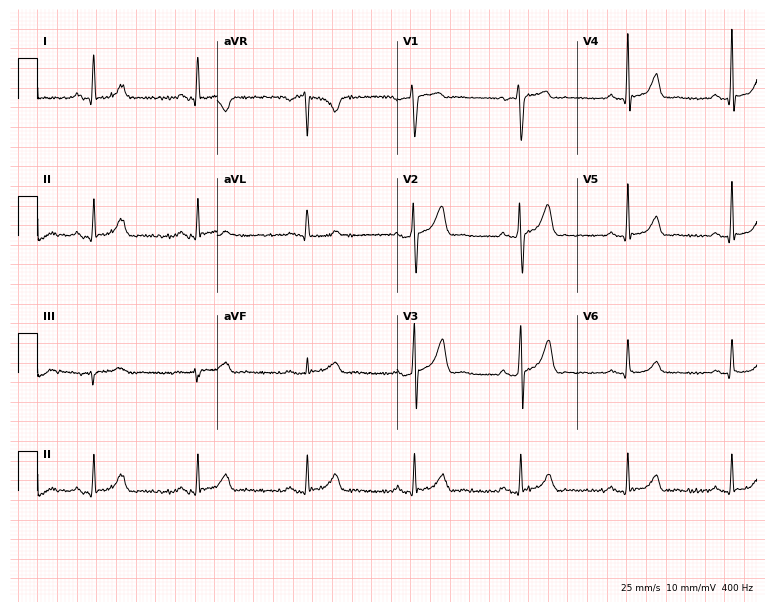
Standard 12-lead ECG recorded from a 41-year-old male patient (7.3-second recording at 400 Hz). Read as a normal ECG.